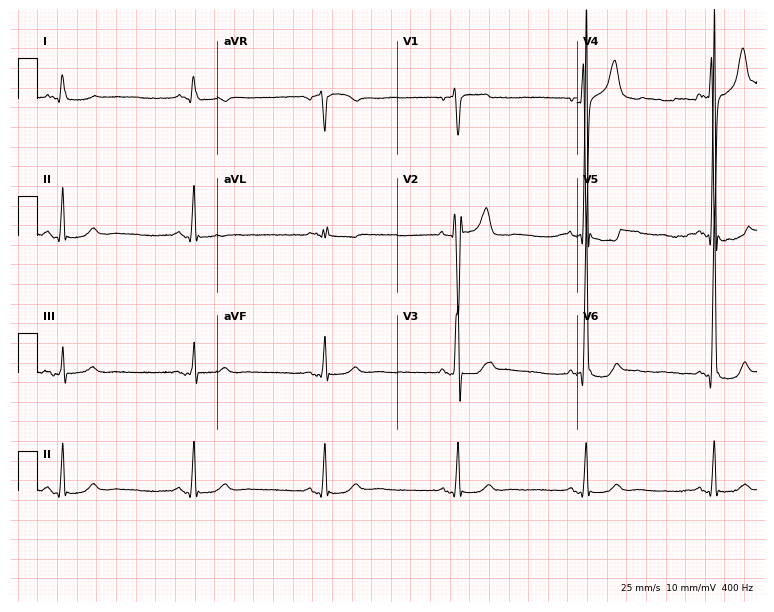
Resting 12-lead electrocardiogram. Patient: a man, 66 years old. The tracing shows sinus bradycardia (a sinus rate of 50 beats per minute or less).